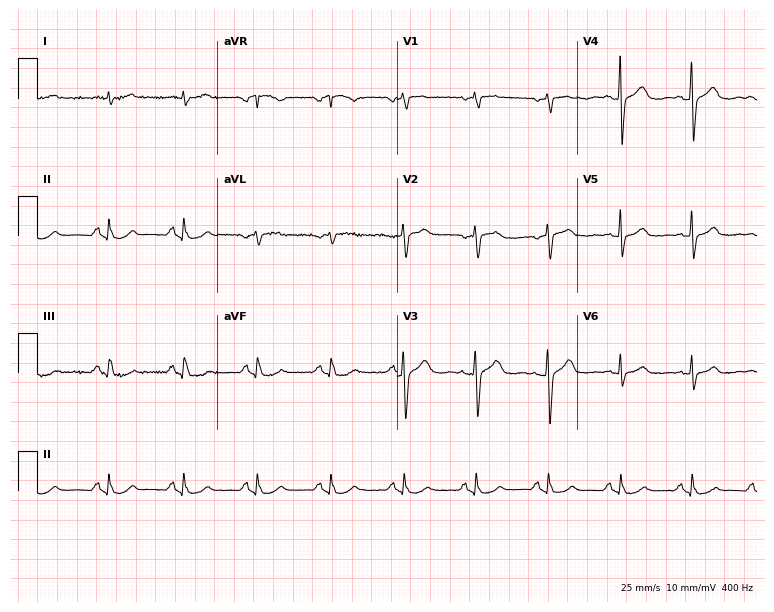
Standard 12-lead ECG recorded from a woman, 53 years old. Read as a normal ECG.